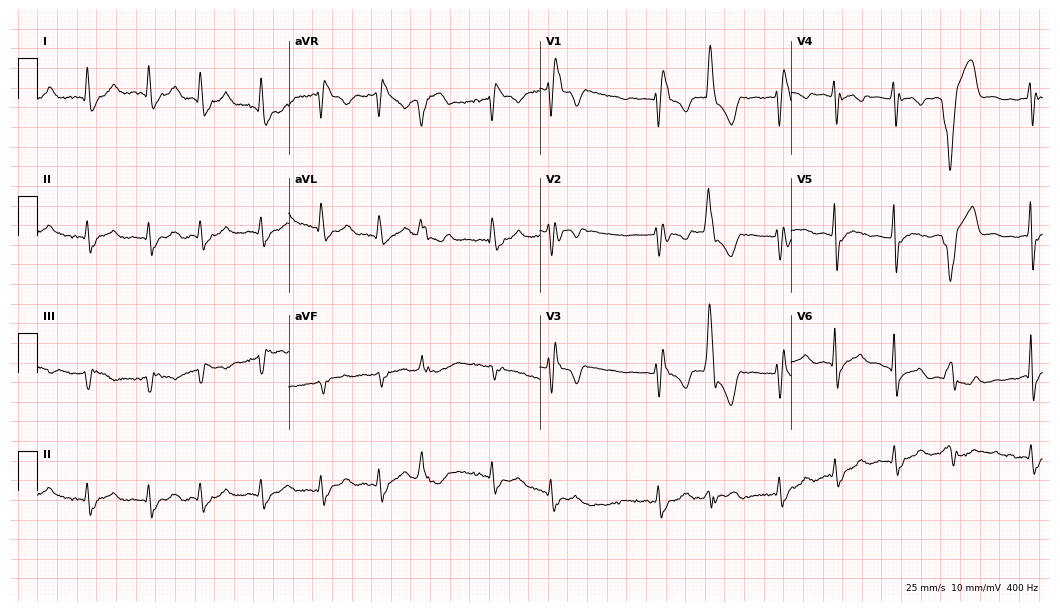
Standard 12-lead ECG recorded from a female, 82 years old. The tracing shows right bundle branch block.